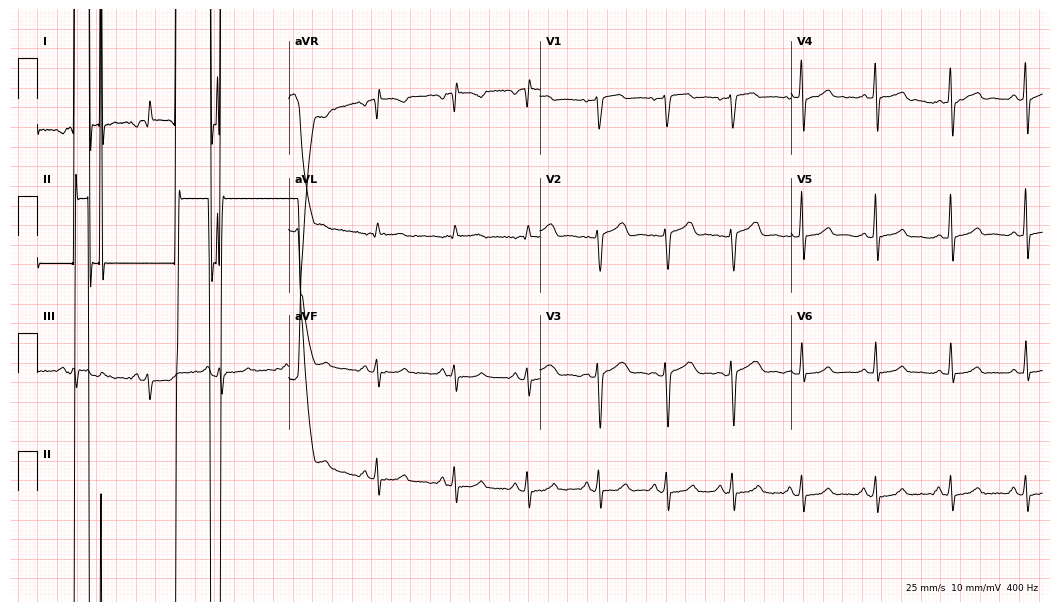
12-lead ECG from a 54-year-old woman. Screened for six findings — first-degree AV block, right bundle branch block (RBBB), left bundle branch block (LBBB), sinus bradycardia, atrial fibrillation (AF), sinus tachycardia — none is recorded.